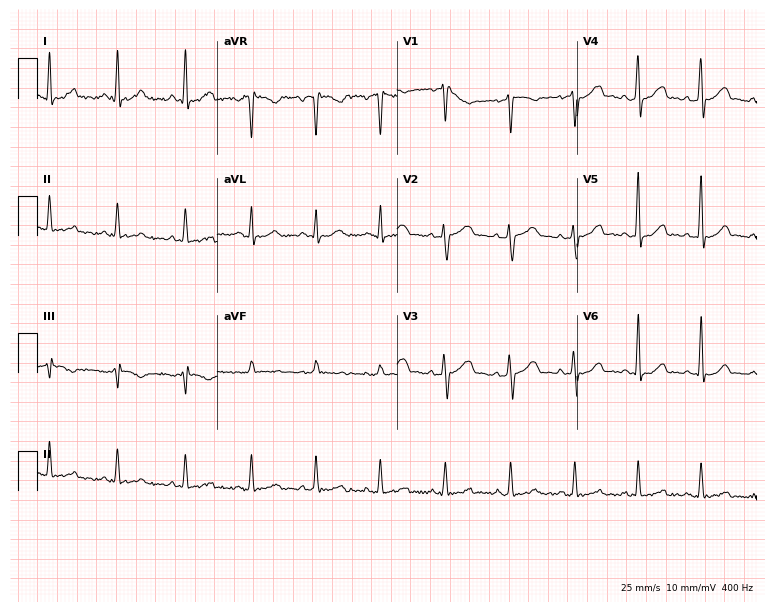
12-lead ECG (7.3-second recording at 400 Hz) from a 42-year-old male. Screened for six findings — first-degree AV block, right bundle branch block, left bundle branch block, sinus bradycardia, atrial fibrillation, sinus tachycardia — none is recorded. Only these six findings were labelled.